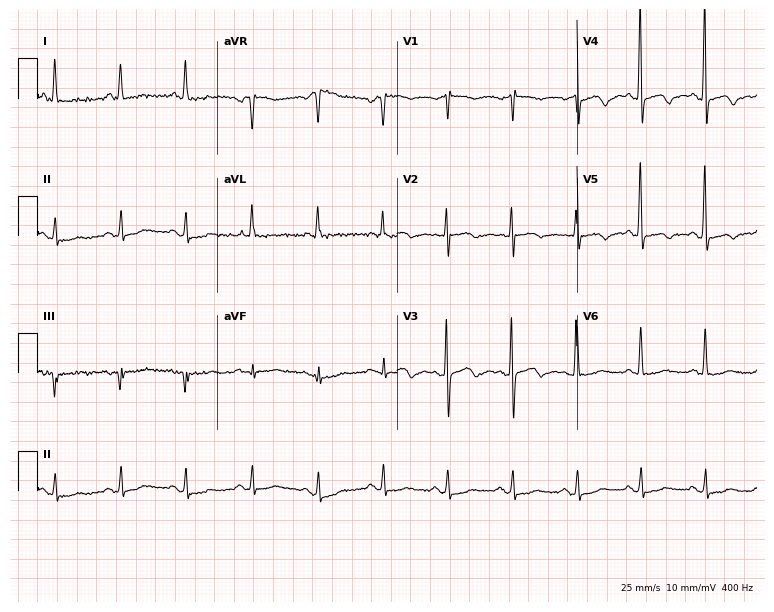
Electrocardiogram, a female patient, 72 years old. Of the six screened findings (first-degree AV block, right bundle branch block, left bundle branch block, sinus bradycardia, atrial fibrillation, sinus tachycardia), none is recorded. Findings outside these six are not listed.